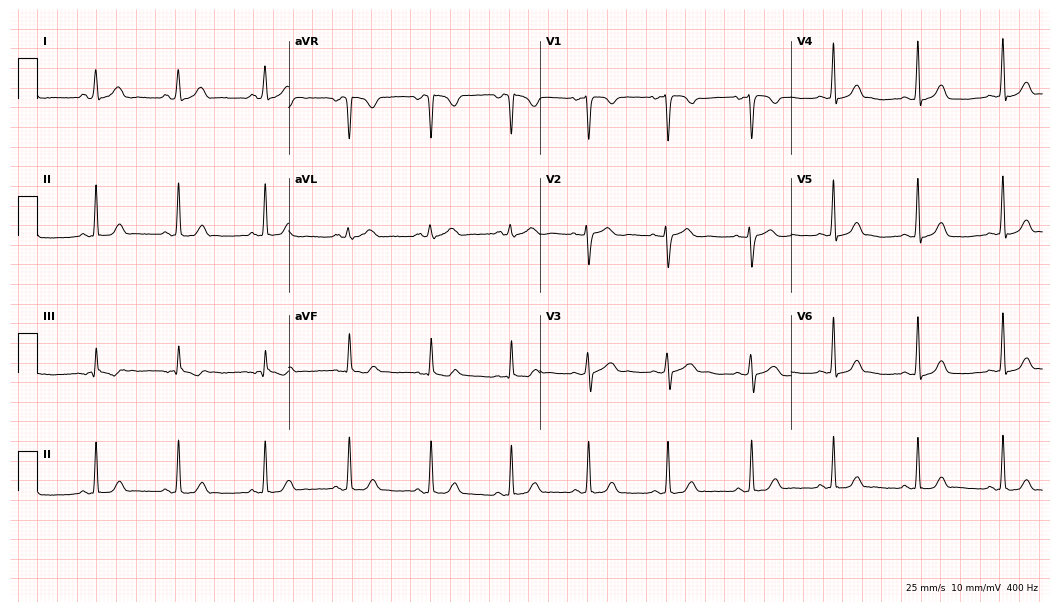
ECG — a female, 34 years old. Labelled as a normal ECG.